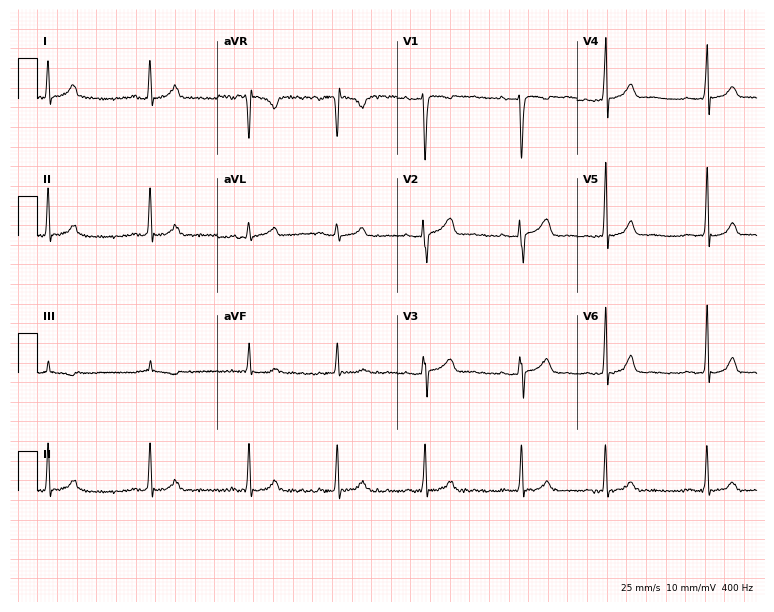
12-lead ECG (7.3-second recording at 400 Hz) from a female, 19 years old. Labelled as a normal ECG.